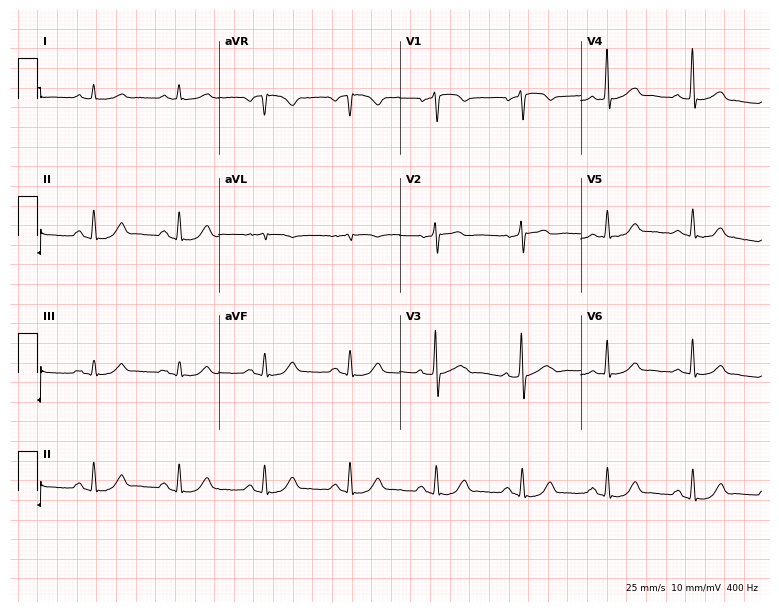
ECG — a man, 72 years old. Labelled as a normal ECG.